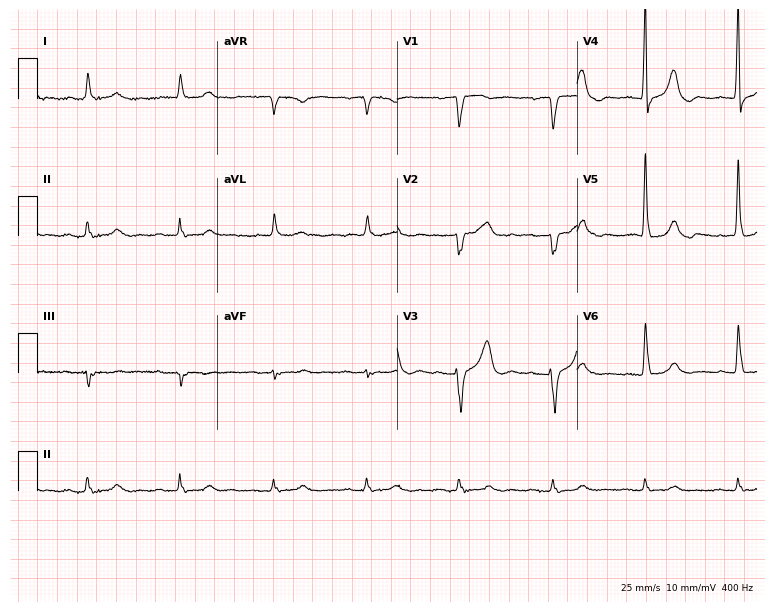
Resting 12-lead electrocardiogram. Patient: a man, 82 years old. Read as a normal ECG.